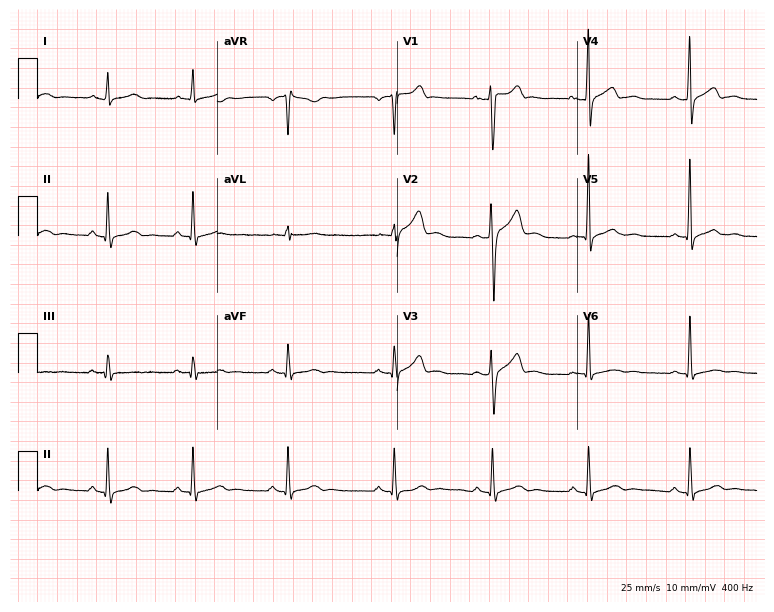
ECG — a man, 22 years old. Screened for six findings — first-degree AV block, right bundle branch block, left bundle branch block, sinus bradycardia, atrial fibrillation, sinus tachycardia — none is recorded. Other findings, if any, are not listed.